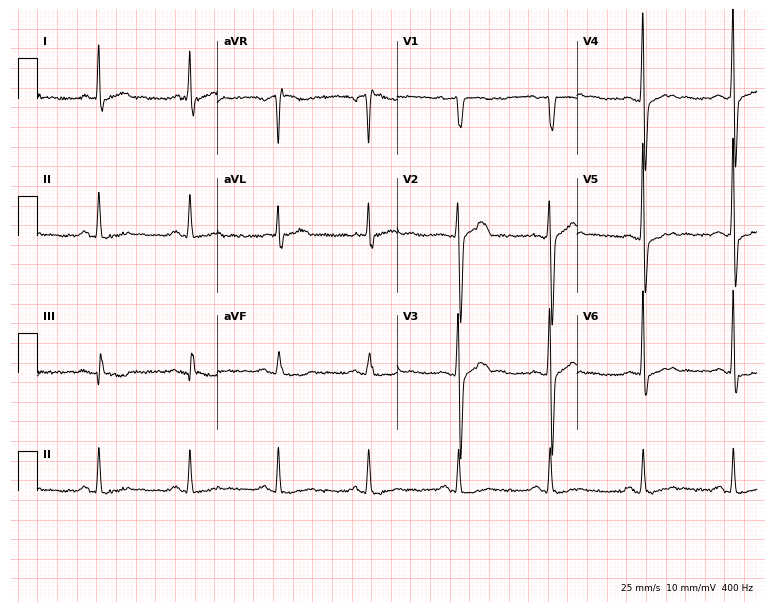
Standard 12-lead ECG recorded from a man, 46 years old. None of these six findings is recorded: first-degree AV block, right bundle branch block, left bundle branch block, sinus bradycardia, atrial fibrillation, sinus tachycardia. Findings outside these six are not listed.